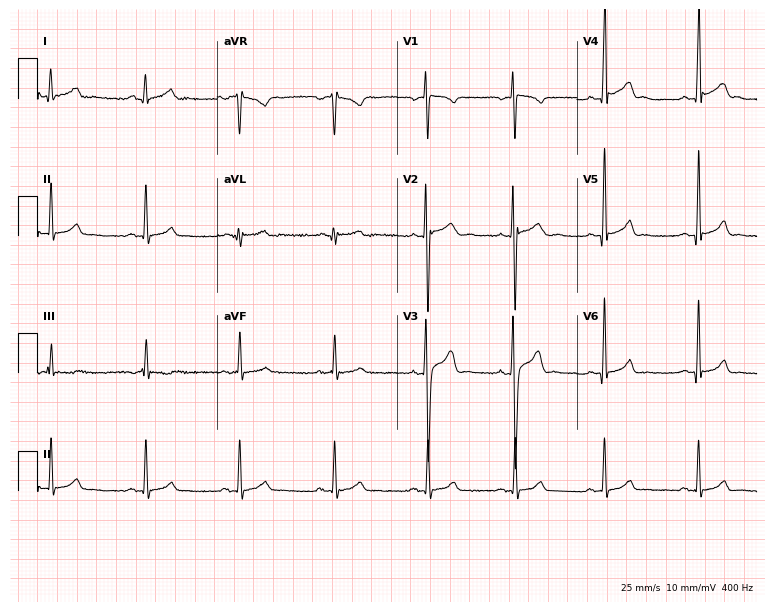
Standard 12-lead ECG recorded from a male patient, 17 years old. Read as a normal ECG.